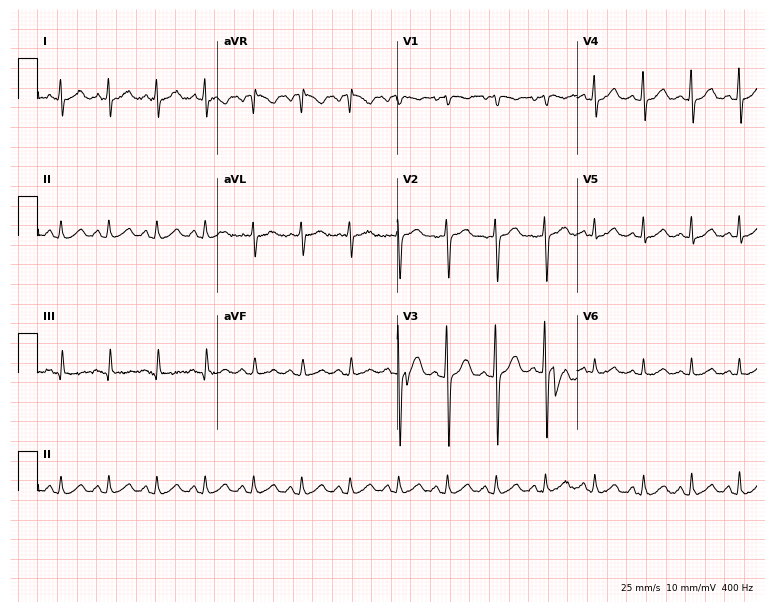
Electrocardiogram, a 38-year-old female. Of the six screened findings (first-degree AV block, right bundle branch block, left bundle branch block, sinus bradycardia, atrial fibrillation, sinus tachycardia), none is recorded. Other findings, if any, are not listed.